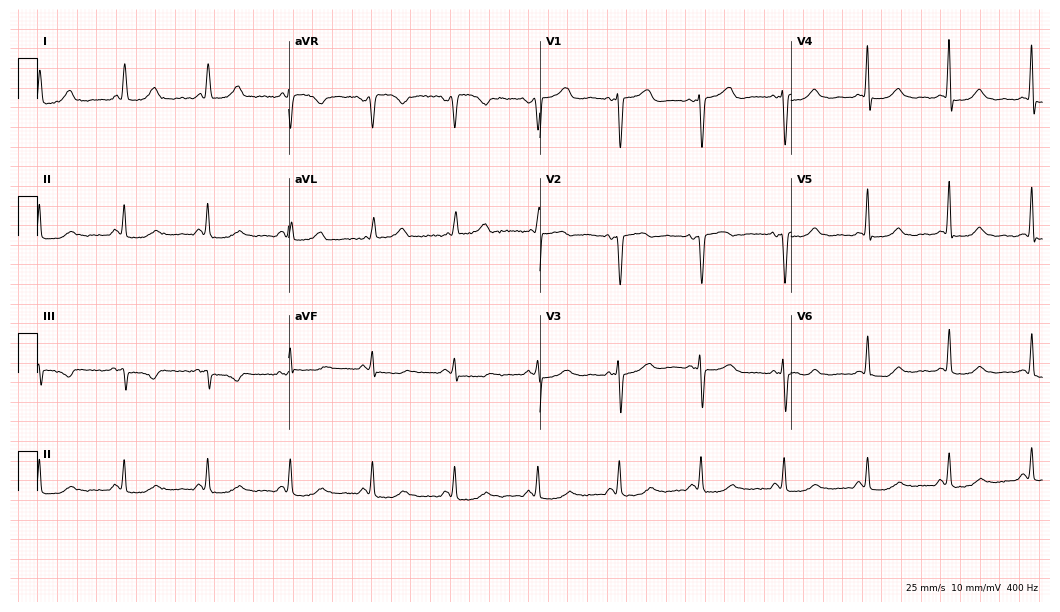
12-lead ECG (10.2-second recording at 400 Hz) from a 79-year-old female. Screened for six findings — first-degree AV block, right bundle branch block, left bundle branch block, sinus bradycardia, atrial fibrillation, sinus tachycardia — none is recorded. Only these six findings were labelled.